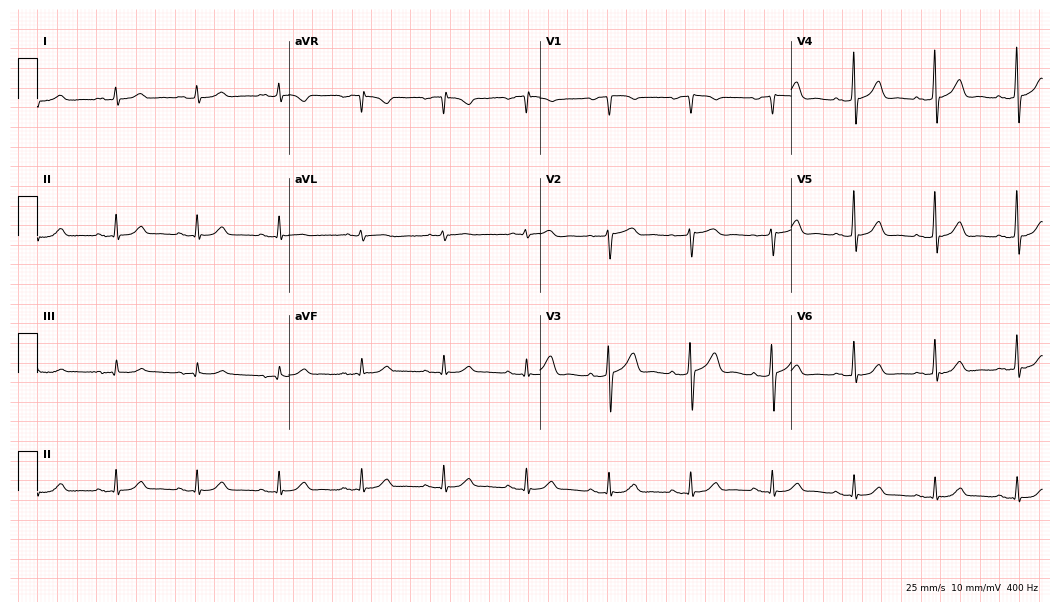
12-lead ECG (10.2-second recording at 400 Hz) from a man, 75 years old. Labelled as a normal ECG.